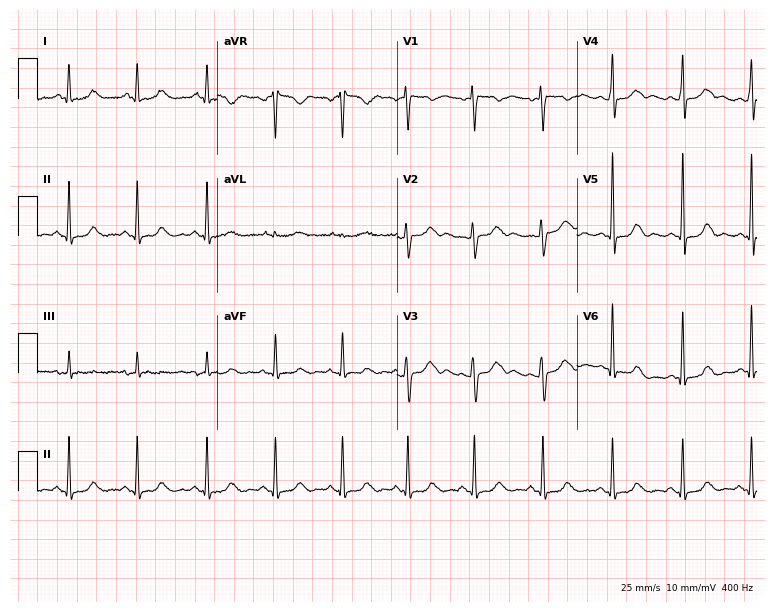
Electrocardiogram, a female, 42 years old. Of the six screened findings (first-degree AV block, right bundle branch block, left bundle branch block, sinus bradycardia, atrial fibrillation, sinus tachycardia), none is recorded.